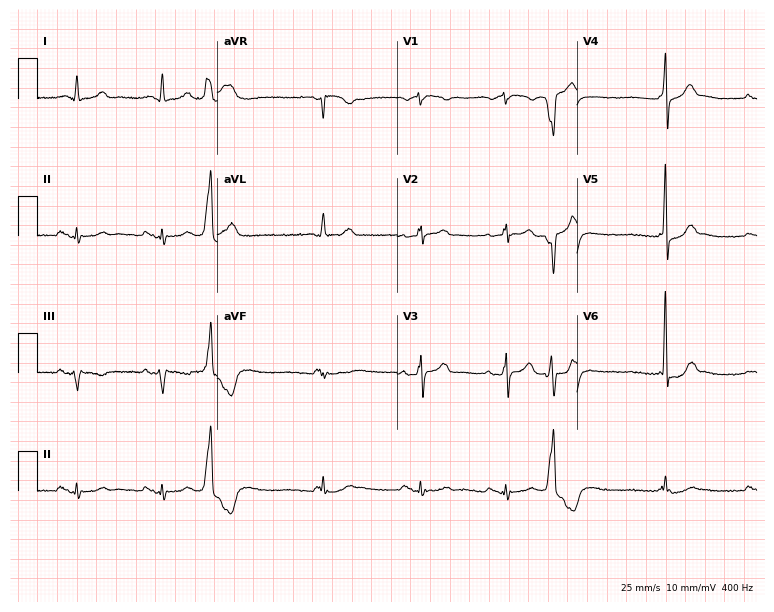
Standard 12-lead ECG recorded from a 79-year-old male patient. Read as a normal ECG.